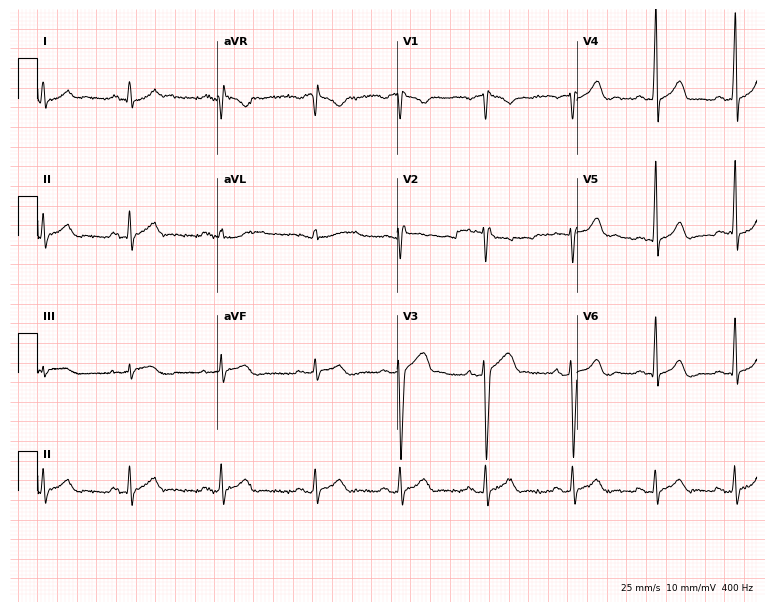
Resting 12-lead electrocardiogram. Patient: a 30-year-old male. None of these six findings is recorded: first-degree AV block, right bundle branch block, left bundle branch block, sinus bradycardia, atrial fibrillation, sinus tachycardia. Other findings, if any, are not listed.